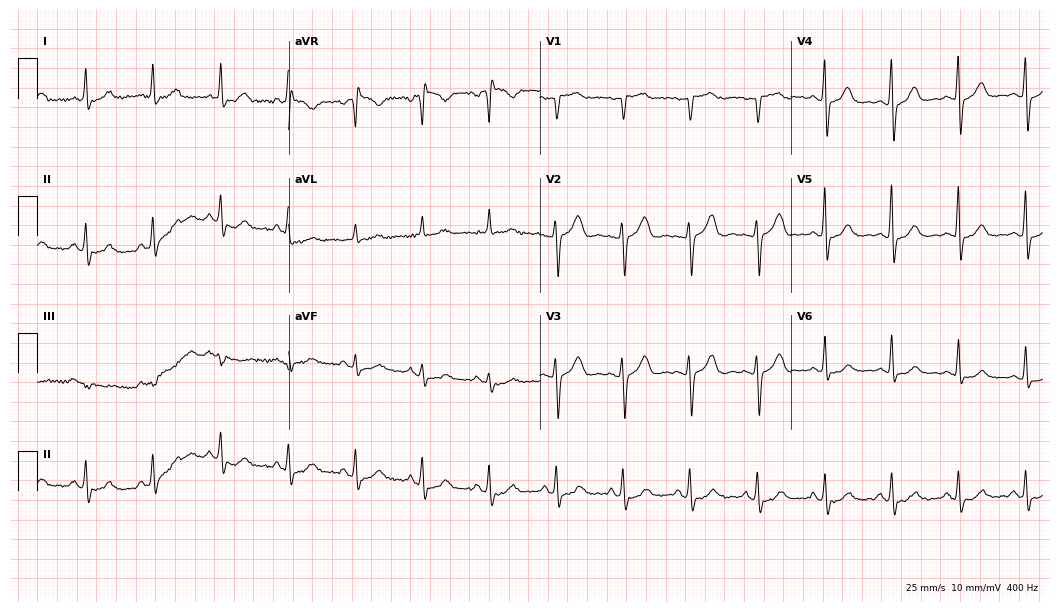
12-lead ECG from a female, 66 years old. Recorded interpretation: within normal limits.